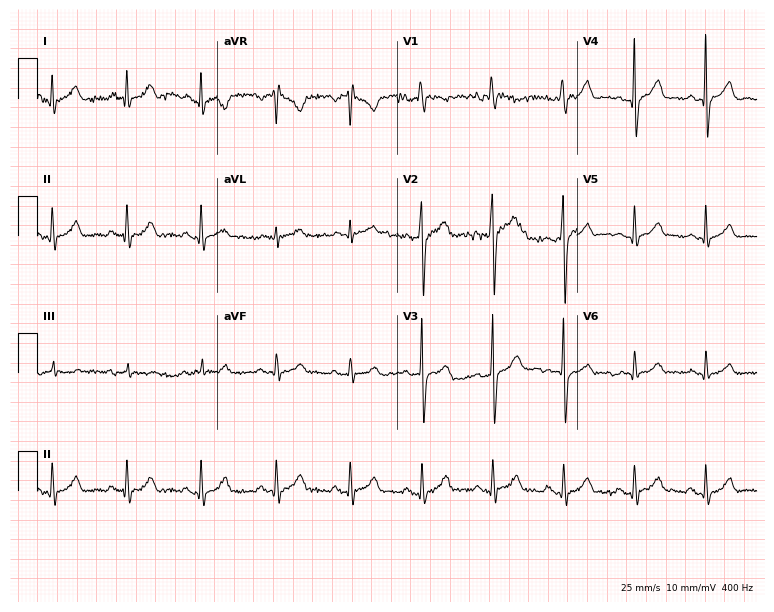
Electrocardiogram (7.3-second recording at 400 Hz), a man, 47 years old. Overall reading on record: normal ECG.